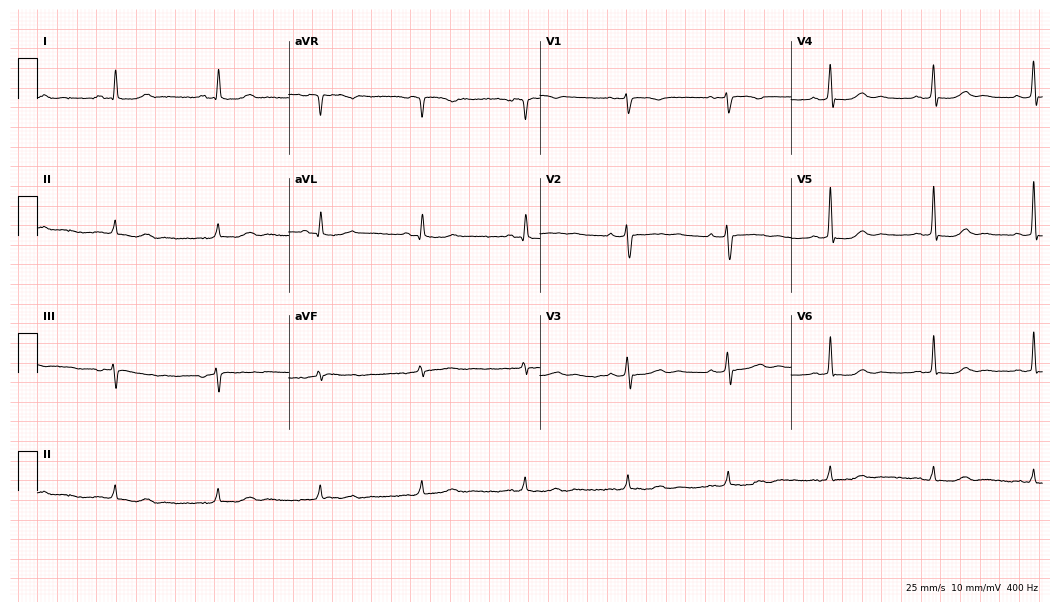
Resting 12-lead electrocardiogram. Patient: a 57-year-old female. None of these six findings is recorded: first-degree AV block, right bundle branch block, left bundle branch block, sinus bradycardia, atrial fibrillation, sinus tachycardia. Other findings, if any, are not listed.